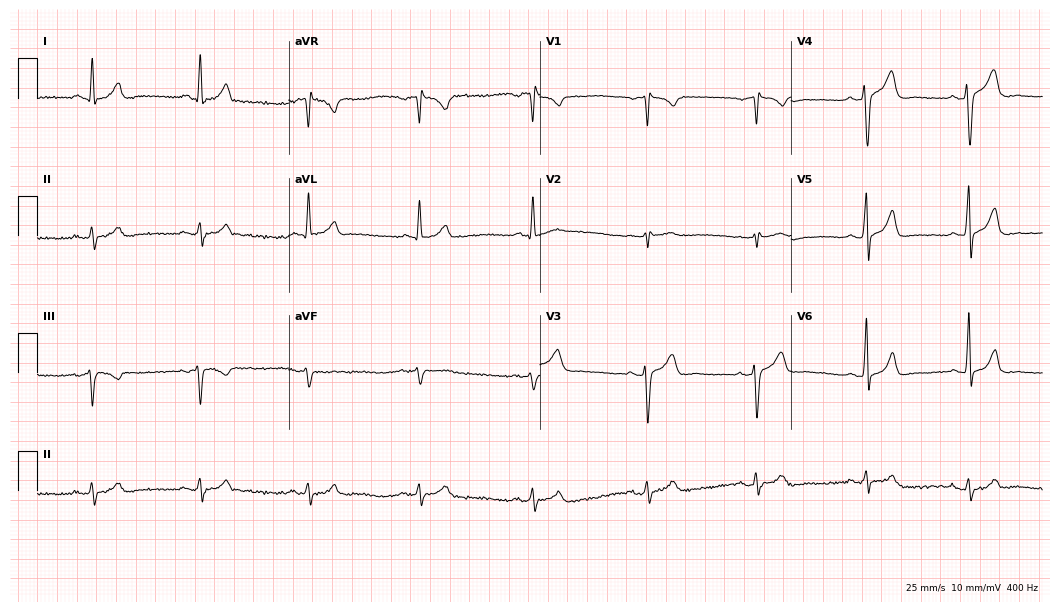
ECG (10.2-second recording at 400 Hz) — a 45-year-old male. Screened for six findings — first-degree AV block, right bundle branch block (RBBB), left bundle branch block (LBBB), sinus bradycardia, atrial fibrillation (AF), sinus tachycardia — none is recorded.